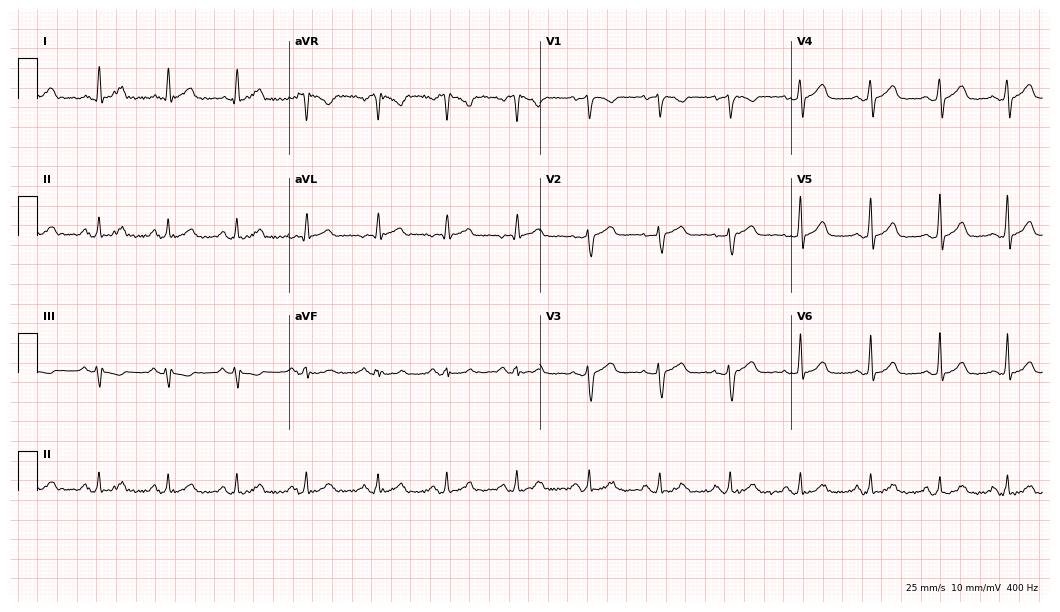
Electrocardiogram (10.2-second recording at 400 Hz), a 50-year-old female. Overall reading on record: normal ECG.